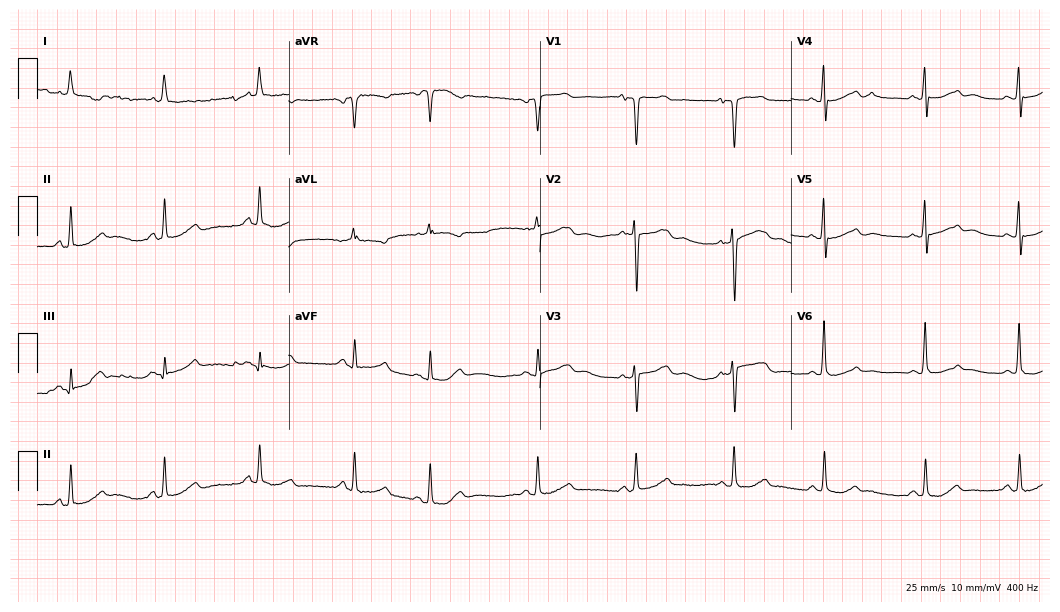
Resting 12-lead electrocardiogram. Patient: a female, 63 years old. None of these six findings is recorded: first-degree AV block, right bundle branch block (RBBB), left bundle branch block (LBBB), sinus bradycardia, atrial fibrillation (AF), sinus tachycardia.